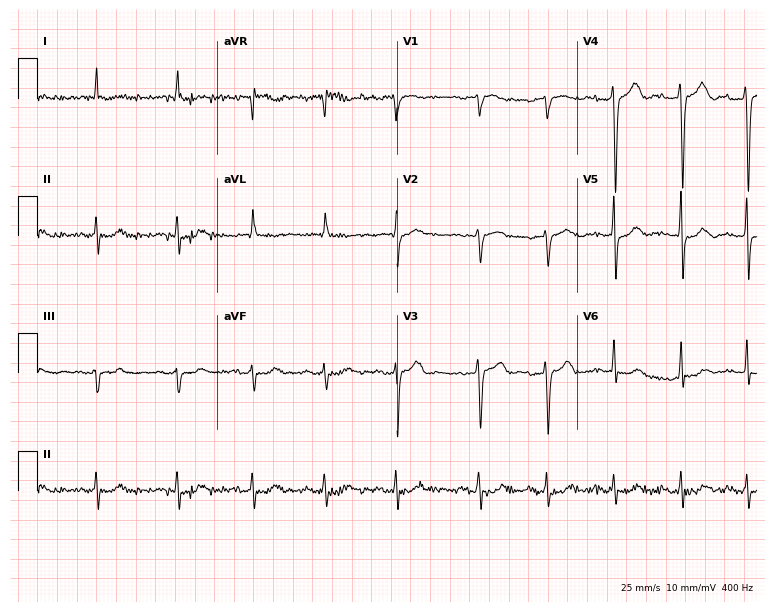
Electrocardiogram (7.3-second recording at 400 Hz), a woman, 79 years old. Of the six screened findings (first-degree AV block, right bundle branch block, left bundle branch block, sinus bradycardia, atrial fibrillation, sinus tachycardia), none is recorded.